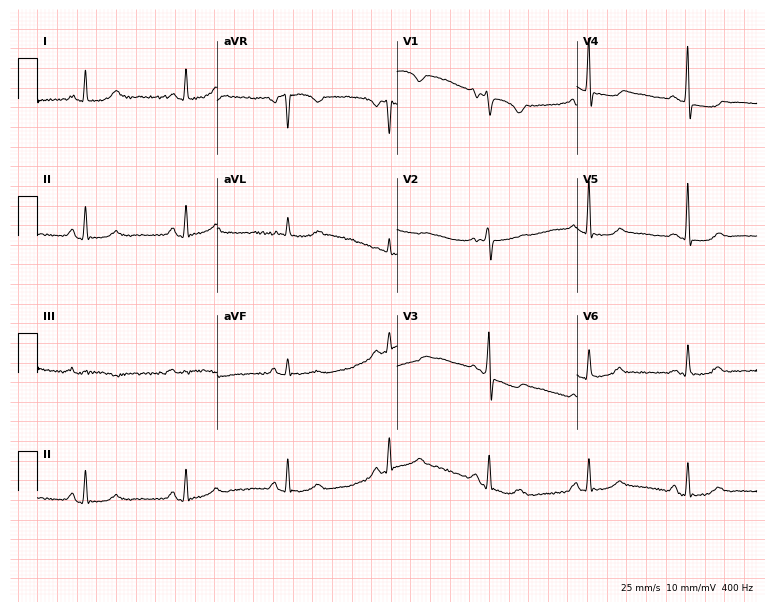
12-lead ECG from a female, 66 years old. Screened for six findings — first-degree AV block, right bundle branch block, left bundle branch block, sinus bradycardia, atrial fibrillation, sinus tachycardia — none is recorded.